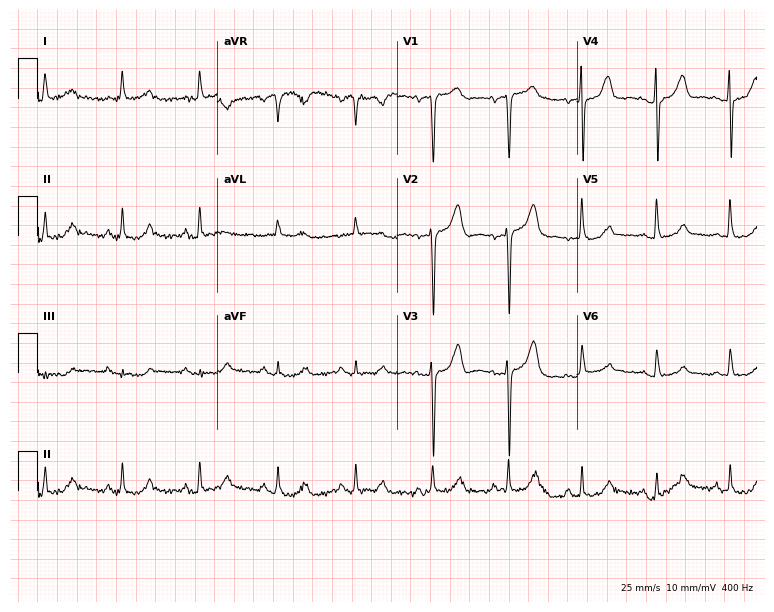
ECG — a female, 78 years old. Labelled as a normal ECG.